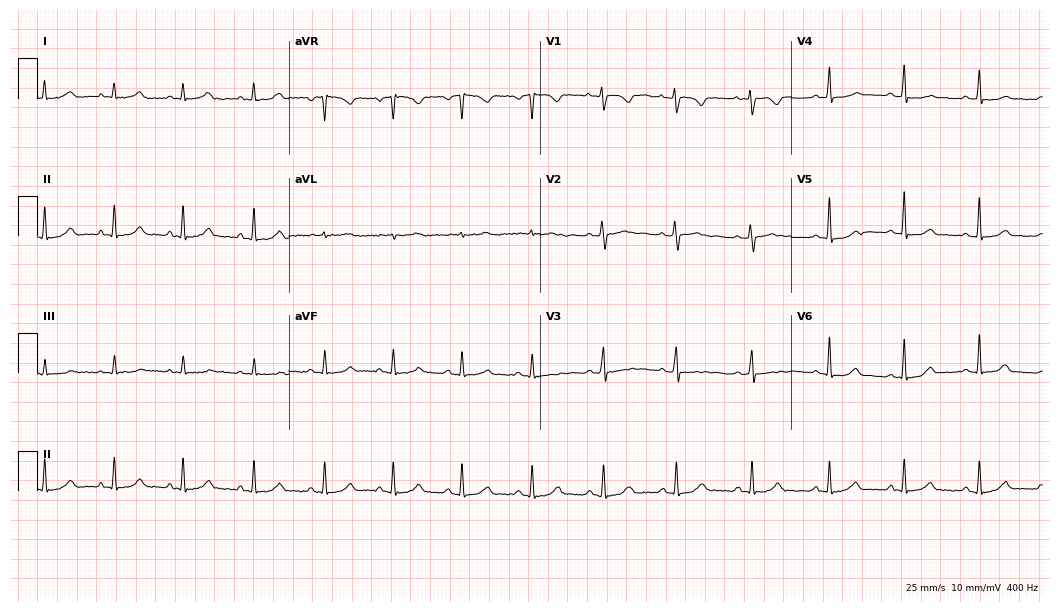
ECG — a 36-year-old female. Labelled as a normal ECG.